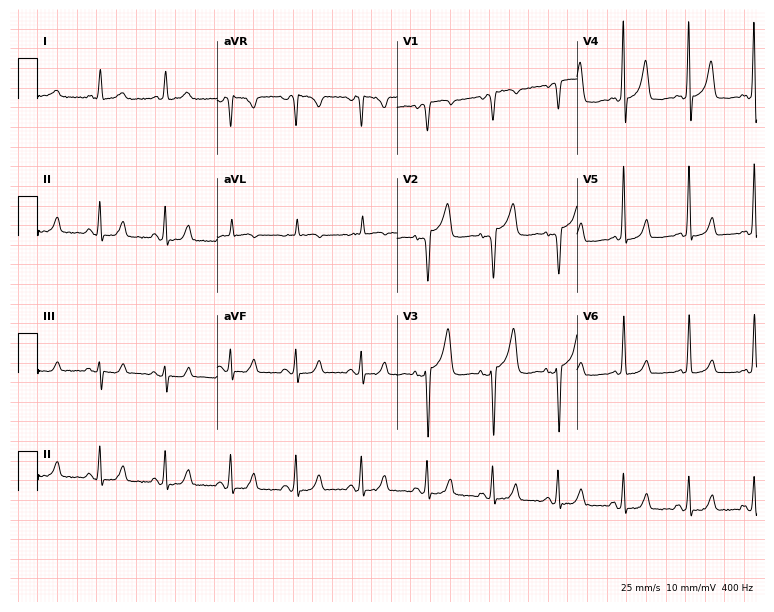
Resting 12-lead electrocardiogram (7.3-second recording at 400 Hz). Patient: a 70-year-old woman. None of these six findings is recorded: first-degree AV block, right bundle branch block, left bundle branch block, sinus bradycardia, atrial fibrillation, sinus tachycardia.